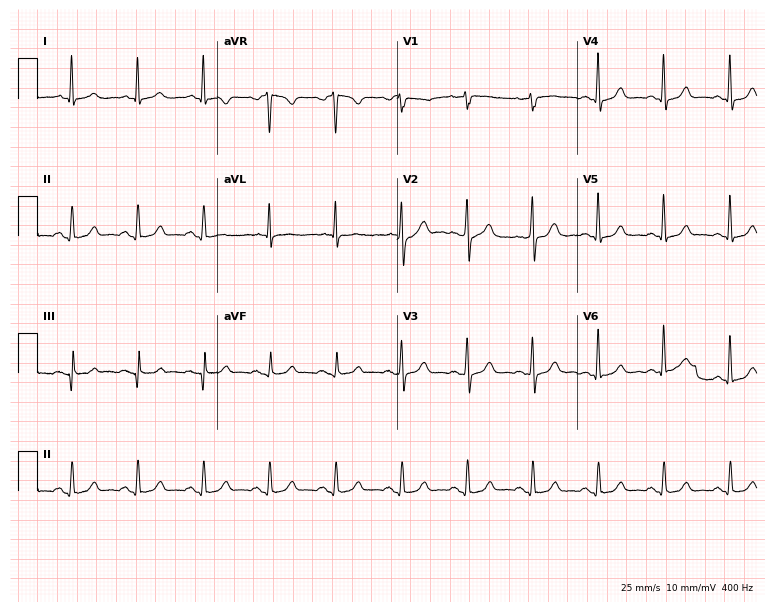
ECG (7.3-second recording at 400 Hz) — a female, 68 years old. Screened for six findings — first-degree AV block, right bundle branch block, left bundle branch block, sinus bradycardia, atrial fibrillation, sinus tachycardia — none is recorded. Other findings, if any, are not listed.